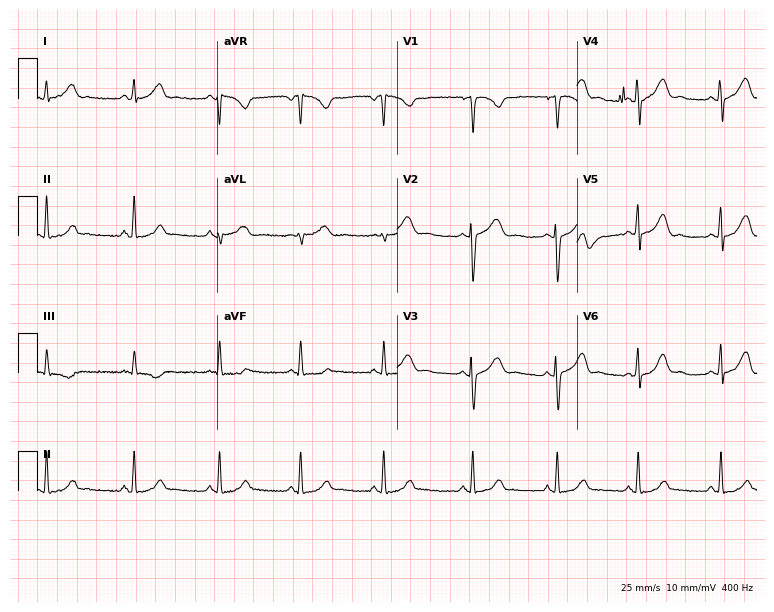
Electrocardiogram, a female patient, 21 years old. Overall reading on record: normal ECG.